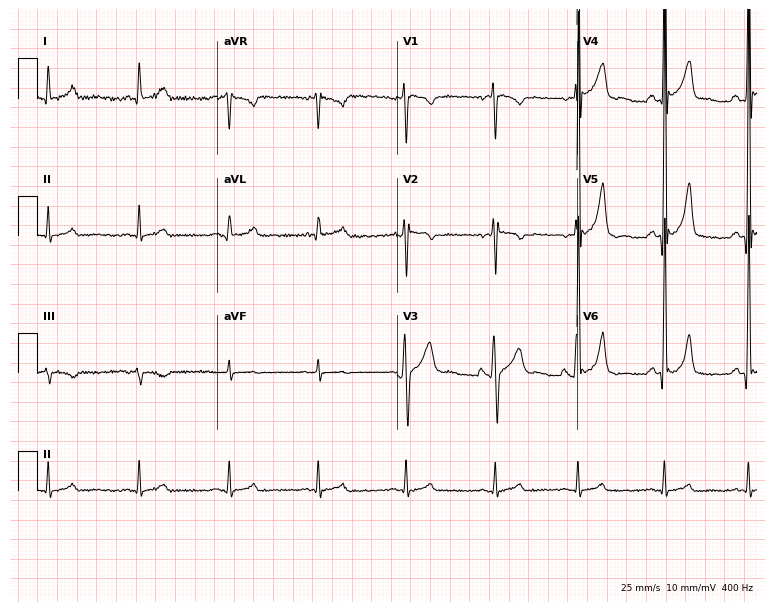
Electrocardiogram (7.3-second recording at 400 Hz), a male, 35 years old. Overall reading on record: normal ECG.